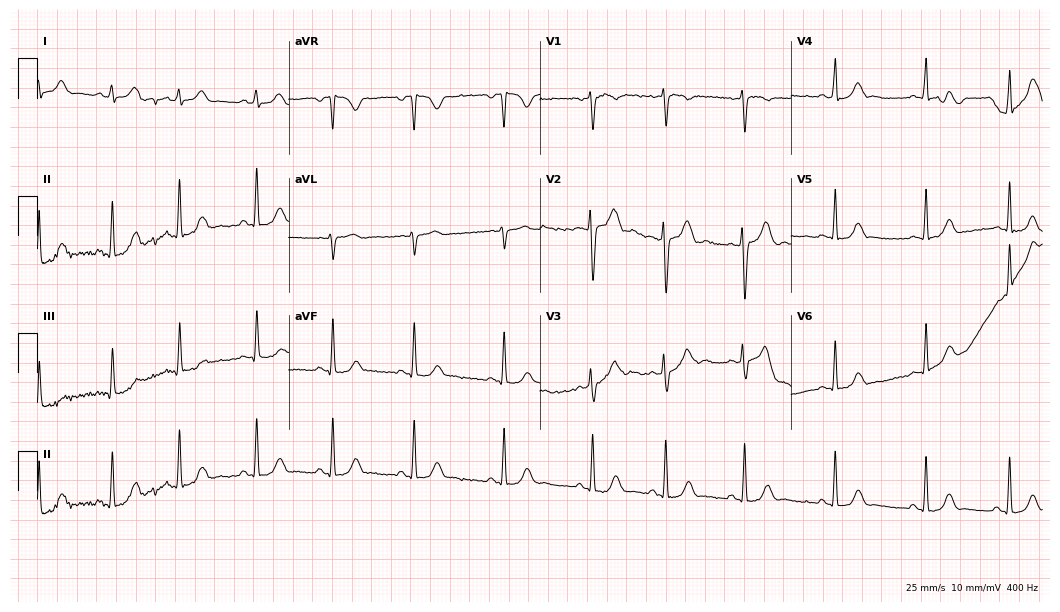
12-lead ECG from a female, 18 years old (10.2-second recording at 400 Hz). Recorded interpretation: within normal limits.